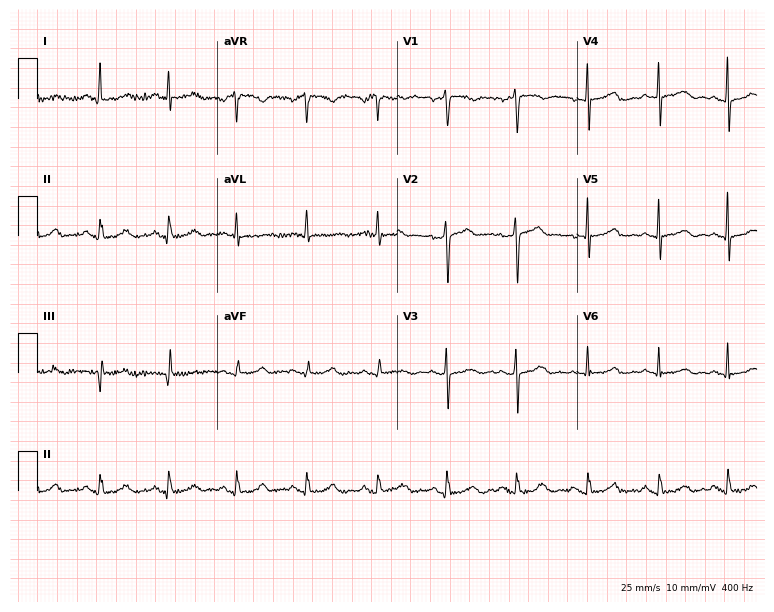
Electrocardiogram (7.3-second recording at 400 Hz), a 49-year-old female patient. Overall reading on record: normal ECG.